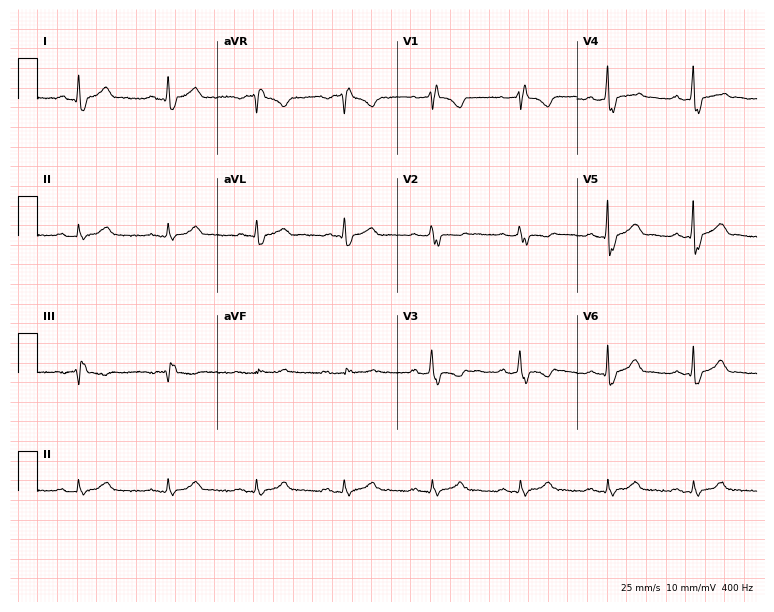
Standard 12-lead ECG recorded from a 54-year-old male patient (7.3-second recording at 400 Hz). The tracing shows right bundle branch block (RBBB).